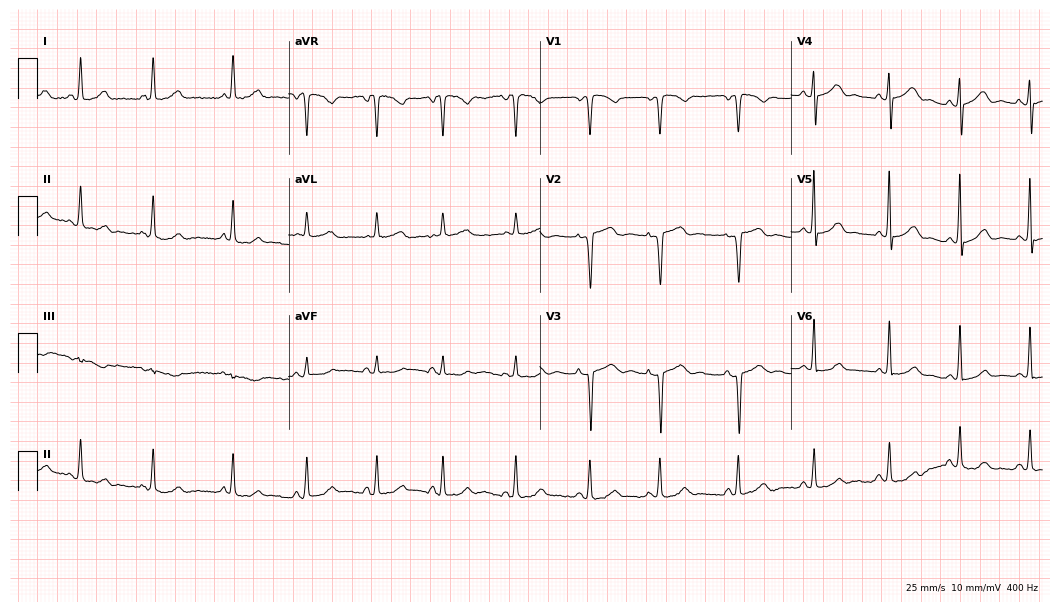
12-lead ECG from a female, 58 years old. Recorded interpretation: within normal limits.